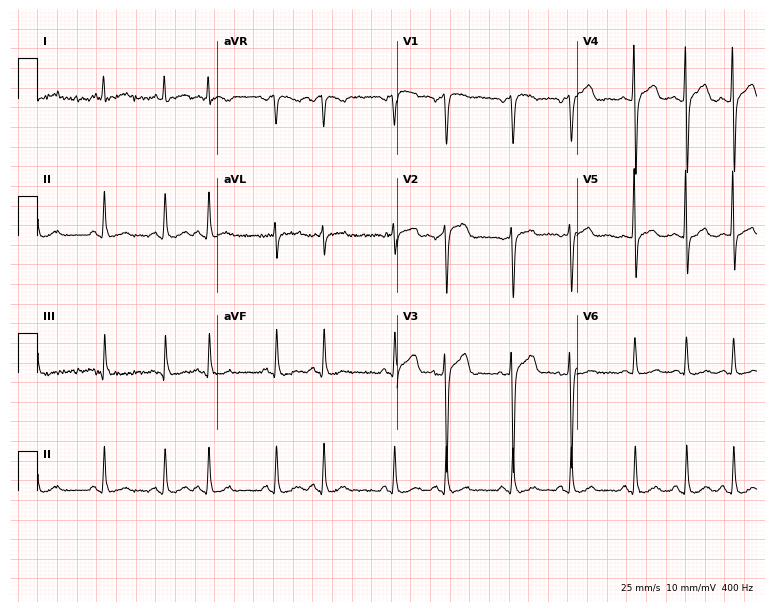
12-lead ECG from a man, 75 years old. No first-degree AV block, right bundle branch block, left bundle branch block, sinus bradycardia, atrial fibrillation or sinus tachycardia recorded for this tracing.